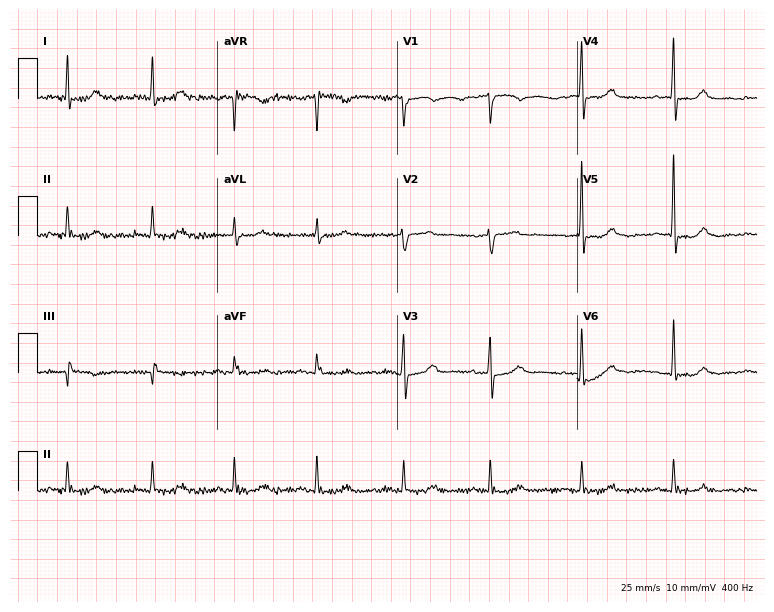
12-lead ECG from a female patient, 71 years old (7.3-second recording at 400 Hz). No first-degree AV block, right bundle branch block, left bundle branch block, sinus bradycardia, atrial fibrillation or sinus tachycardia recorded for this tracing. Other findings, if any, are not listed.